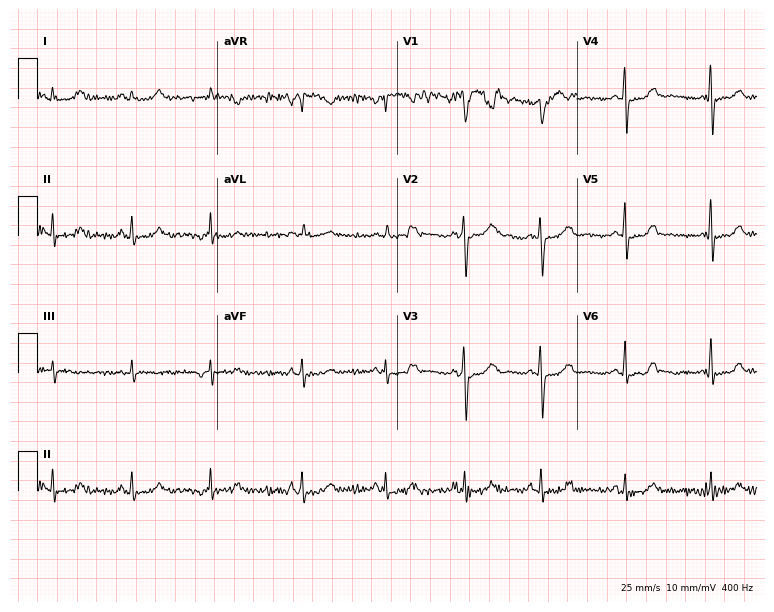
Electrocardiogram, a 27-year-old female. Of the six screened findings (first-degree AV block, right bundle branch block (RBBB), left bundle branch block (LBBB), sinus bradycardia, atrial fibrillation (AF), sinus tachycardia), none is recorded. Other findings, if any, are not listed.